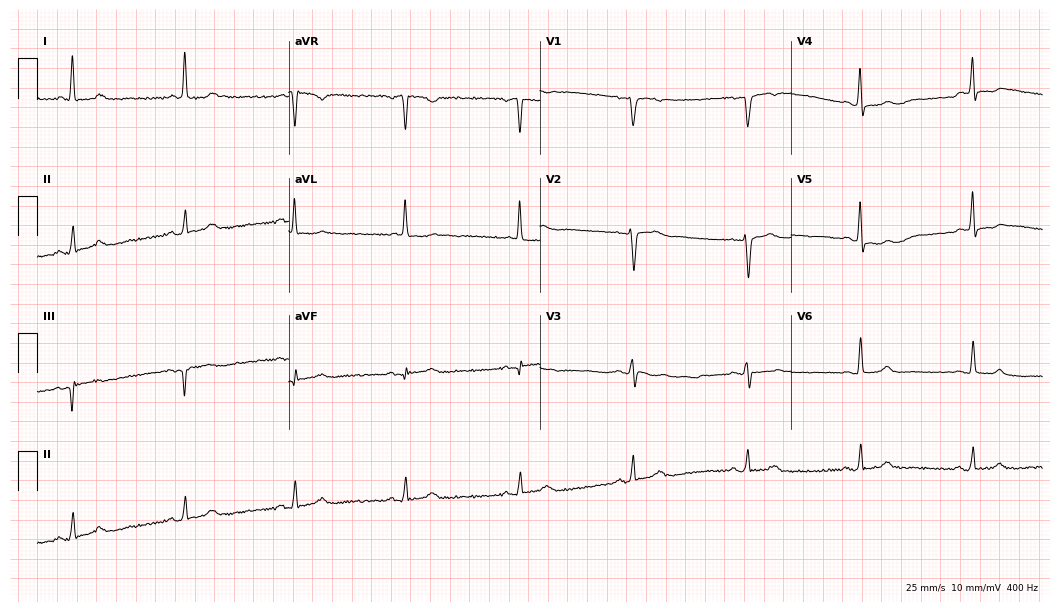
ECG (10.2-second recording at 400 Hz) — a 69-year-old woman. Labelled as a normal ECG.